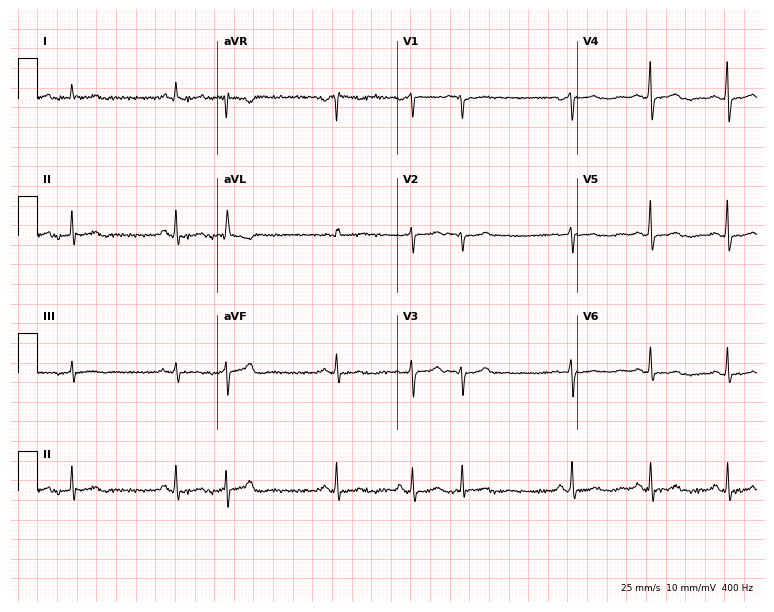
12-lead ECG from a female patient, 54 years old (7.3-second recording at 400 Hz). No first-degree AV block, right bundle branch block, left bundle branch block, sinus bradycardia, atrial fibrillation or sinus tachycardia recorded for this tracing. Findings outside these six are not listed.